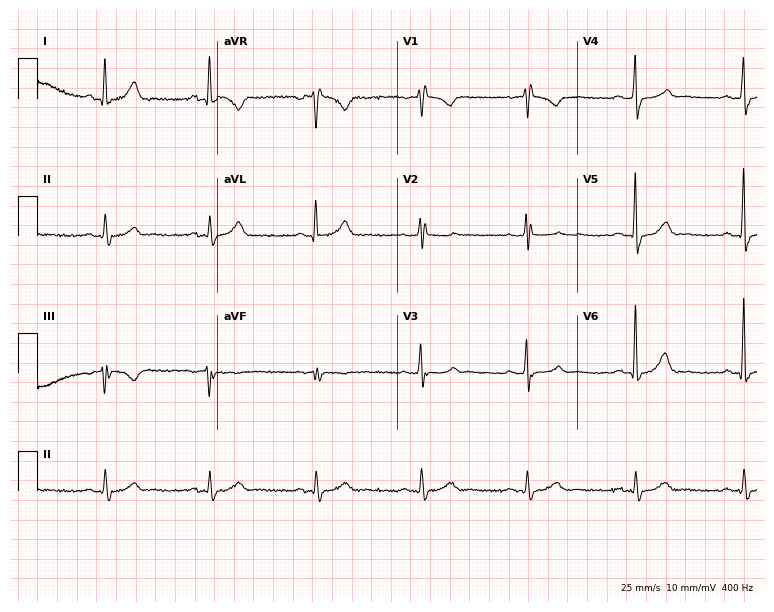
ECG (7.3-second recording at 400 Hz) — a man, 56 years old. Findings include right bundle branch block.